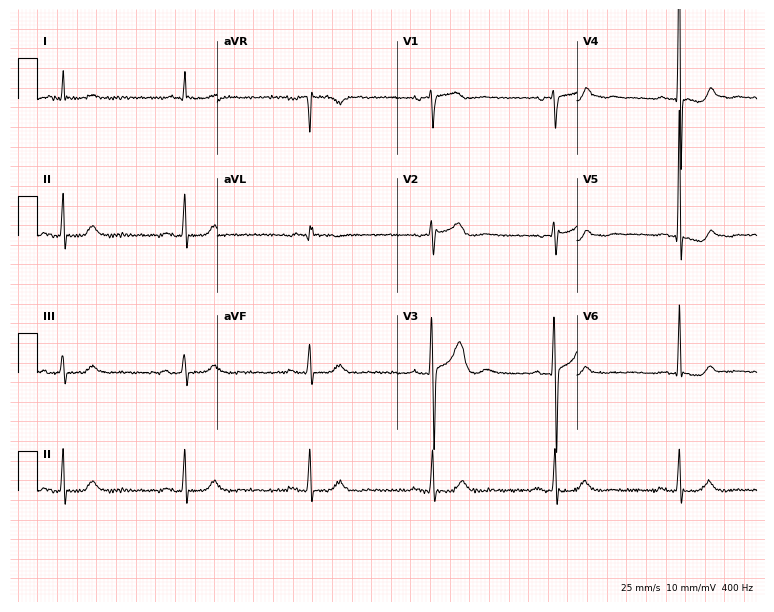
Standard 12-lead ECG recorded from a male, 67 years old (7.3-second recording at 400 Hz). None of these six findings is recorded: first-degree AV block, right bundle branch block, left bundle branch block, sinus bradycardia, atrial fibrillation, sinus tachycardia. Only these six findings were labelled.